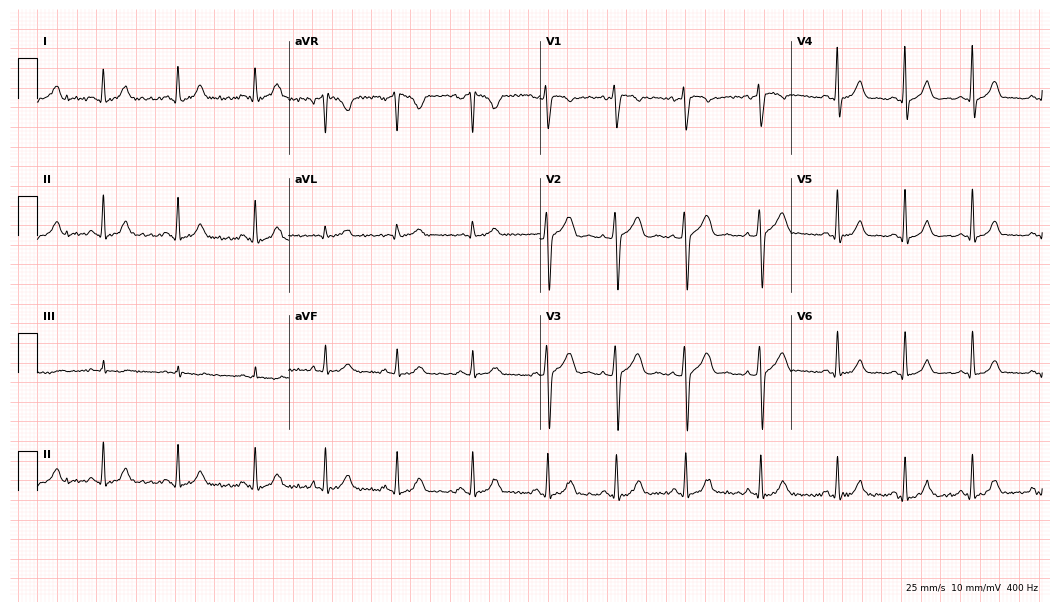
12-lead ECG from a 30-year-old female. No first-degree AV block, right bundle branch block (RBBB), left bundle branch block (LBBB), sinus bradycardia, atrial fibrillation (AF) or sinus tachycardia recorded for this tracing.